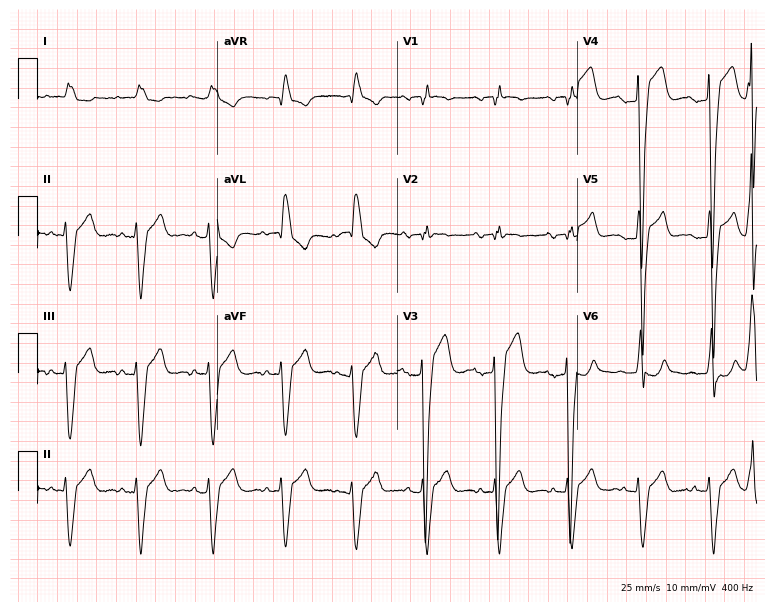
12-lead ECG from a male patient, 75 years old. Shows right bundle branch block.